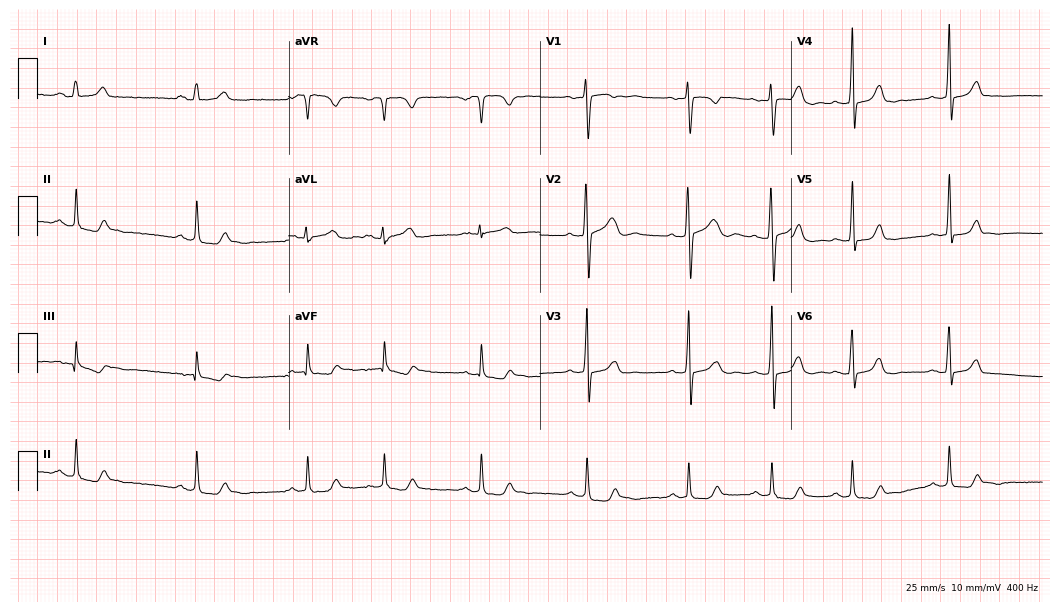
12-lead ECG from a 17-year-old female patient (10.2-second recording at 400 Hz). No first-degree AV block, right bundle branch block, left bundle branch block, sinus bradycardia, atrial fibrillation or sinus tachycardia recorded for this tracing.